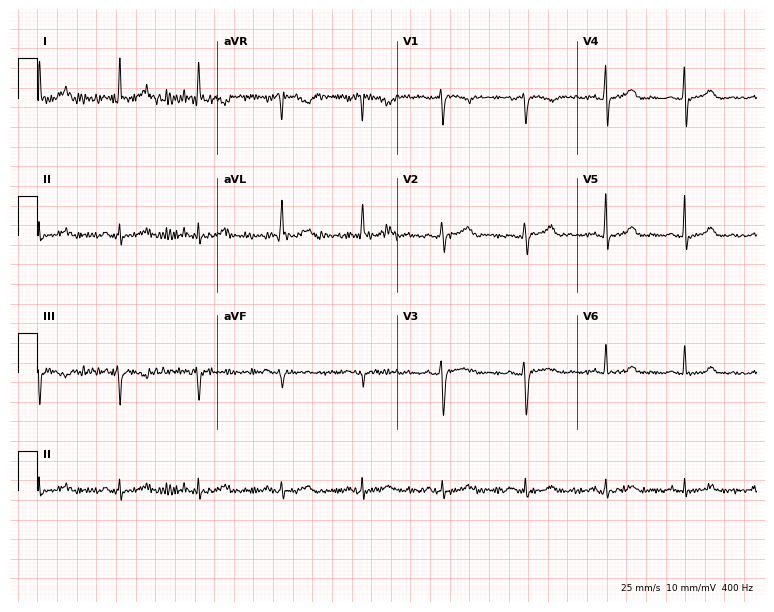
Electrocardiogram, a female patient, 46 years old. Of the six screened findings (first-degree AV block, right bundle branch block (RBBB), left bundle branch block (LBBB), sinus bradycardia, atrial fibrillation (AF), sinus tachycardia), none is recorded. Other findings, if any, are not listed.